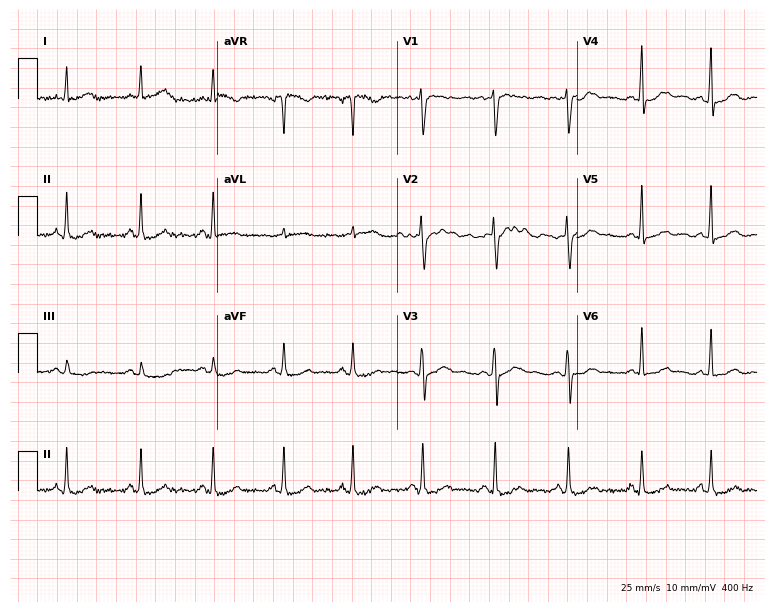
Resting 12-lead electrocardiogram. Patient: a 56-year-old female. None of these six findings is recorded: first-degree AV block, right bundle branch block, left bundle branch block, sinus bradycardia, atrial fibrillation, sinus tachycardia.